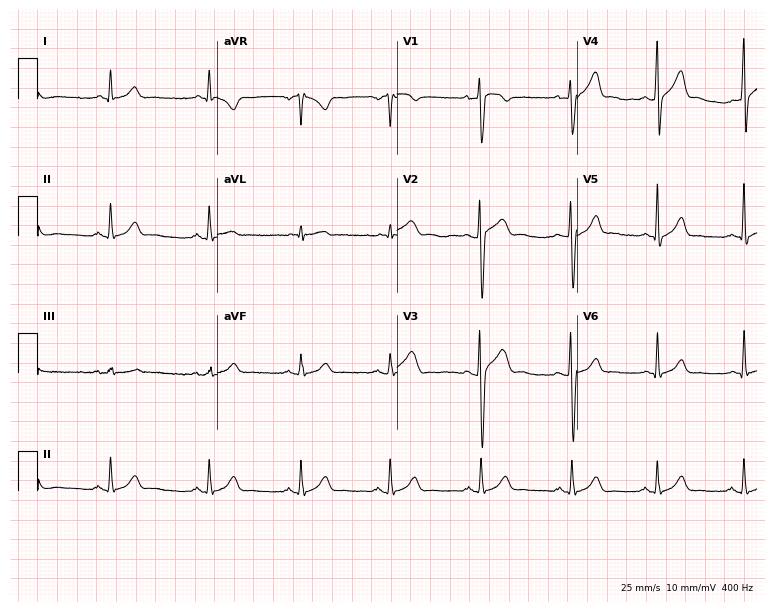
12-lead ECG from a male, 20 years old. Recorded interpretation: within normal limits.